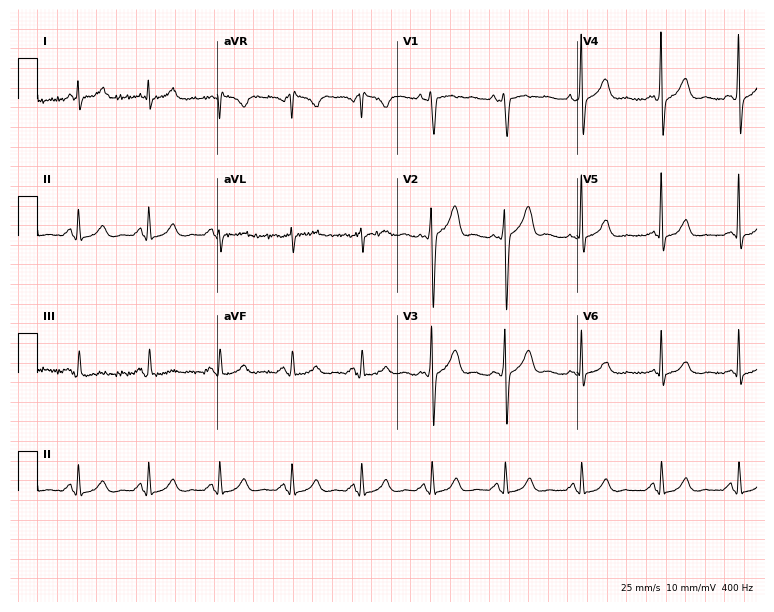
12-lead ECG (7.3-second recording at 400 Hz) from a 48-year-old male patient. Screened for six findings — first-degree AV block, right bundle branch block (RBBB), left bundle branch block (LBBB), sinus bradycardia, atrial fibrillation (AF), sinus tachycardia — none is recorded.